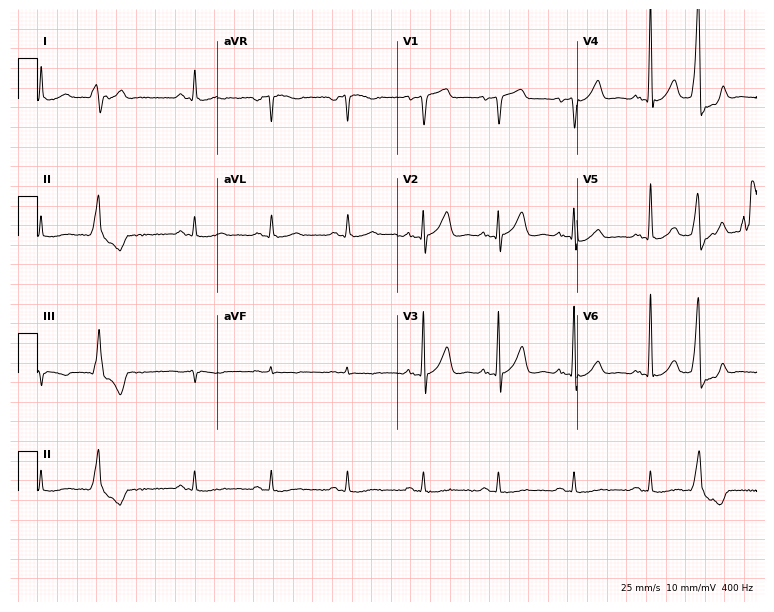
ECG (7.3-second recording at 400 Hz) — a man, 74 years old. Screened for six findings — first-degree AV block, right bundle branch block (RBBB), left bundle branch block (LBBB), sinus bradycardia, atrial fibrillation (AF), sinus tachycardia — none is recorded. Other findings, if any, are not listed.